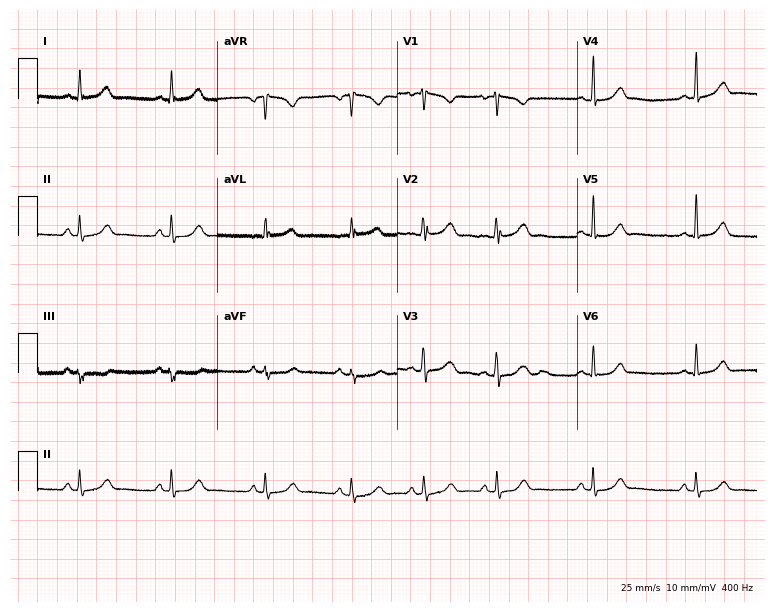
ECG — a 24-year-old female. Screened for six findings — first-degree AV block, right bundle branch block (RBBB), left bundle branch block (LBBB), sinus bradycardia, atrial fibrillation (AF), sinus tachycardia — none is recorded. Only these six findings were labelled.